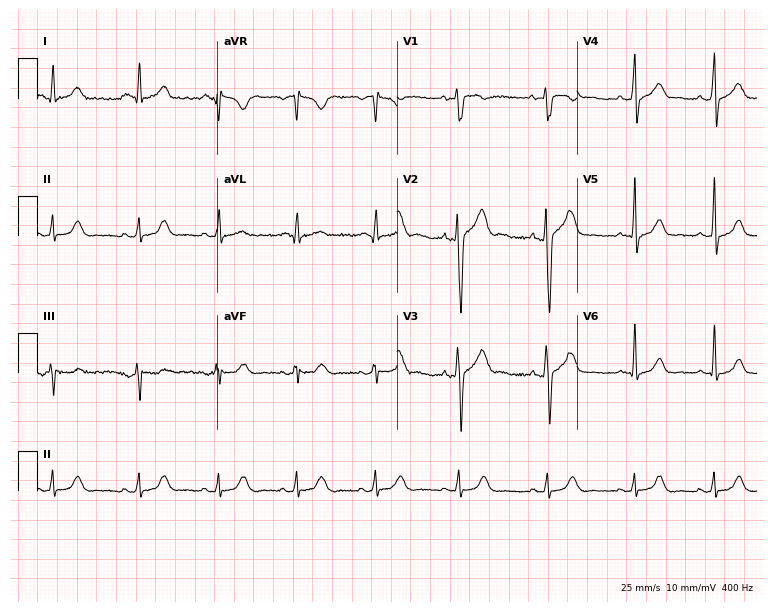
ECG (7.3-second recording at 400 Hz) — a male, 22 years old. Labelled as a normal ECG.